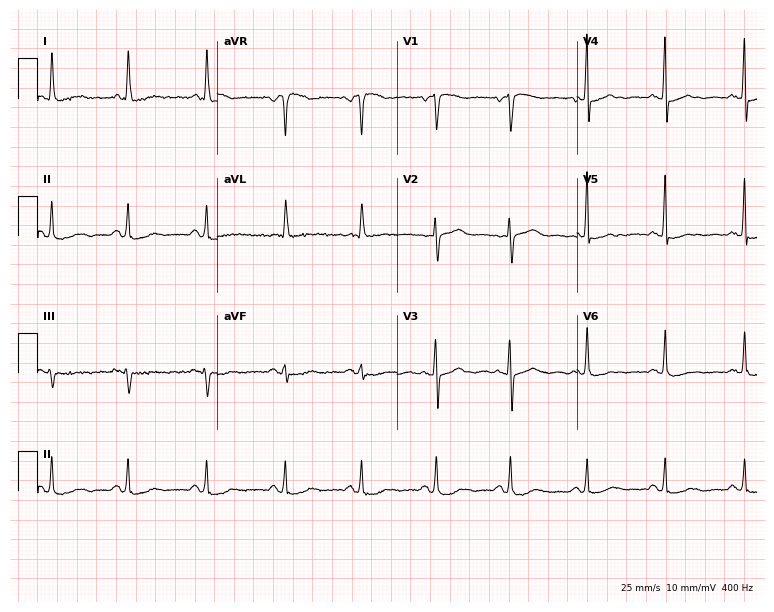
Electrocardiogram, a 78-year-old female. Of the six screened findings (first-degree AV block, right bundle branch block, left bundle branch block, sinus bradycardia, atrial fibrillation, sinus tachycardia), none is recorded.